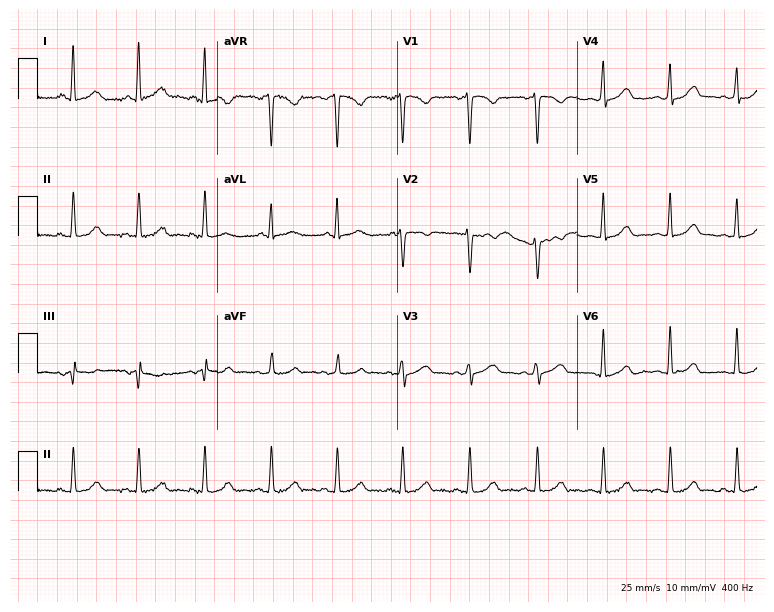
12-lead ECG (7.3-second recording at 400 Hz) from a female patient, 26 years old. Labelled as a normal ECG.